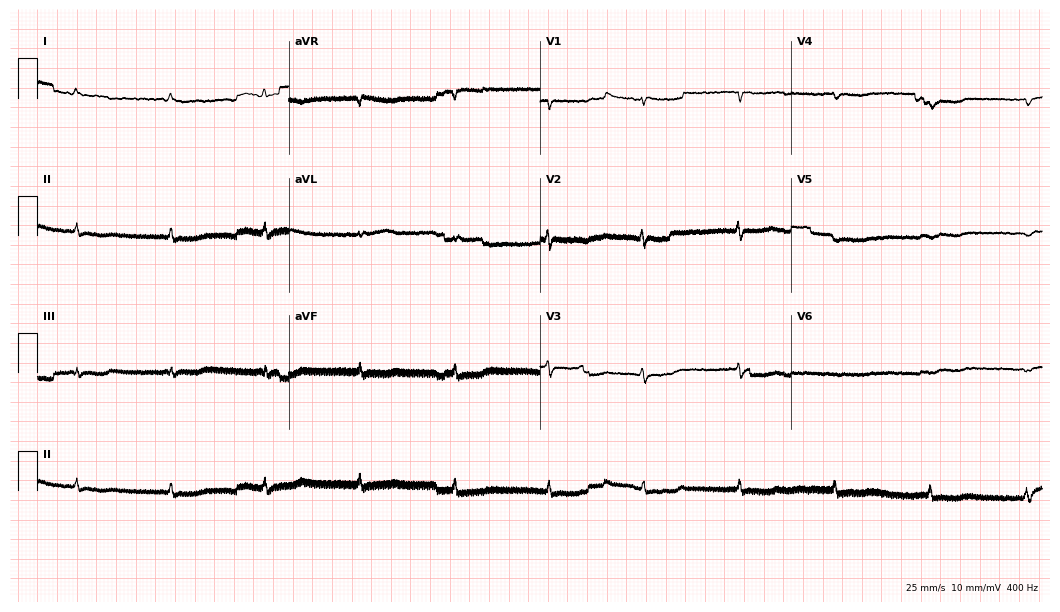
Electrocardiogram, a male patient, 60 years old. Of the six screened findings (first-degree AV block, right bundle branch block, left bundle branch block, sinus bradycardia, atrial fibrillation, sinus tachycardia), none is recorded. Only these six findings were labelled.